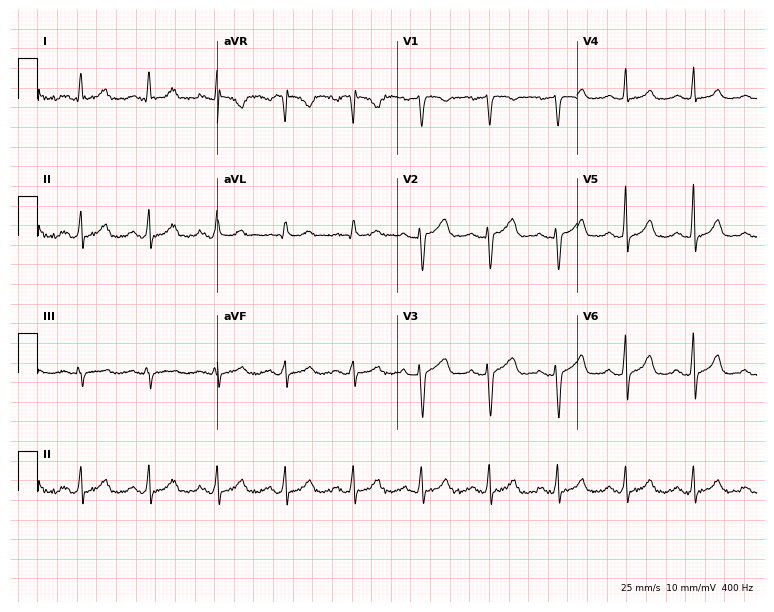
Standard 12-lead ECG recorded from a 44-year-old woman (7.3-second recording at 400 Hz). None of these six findings is recorded: first-degree AV block, right bundle branch block, left bundle branch block, sinus bradycardia, atrial fibrillation, sinus tachycardia.